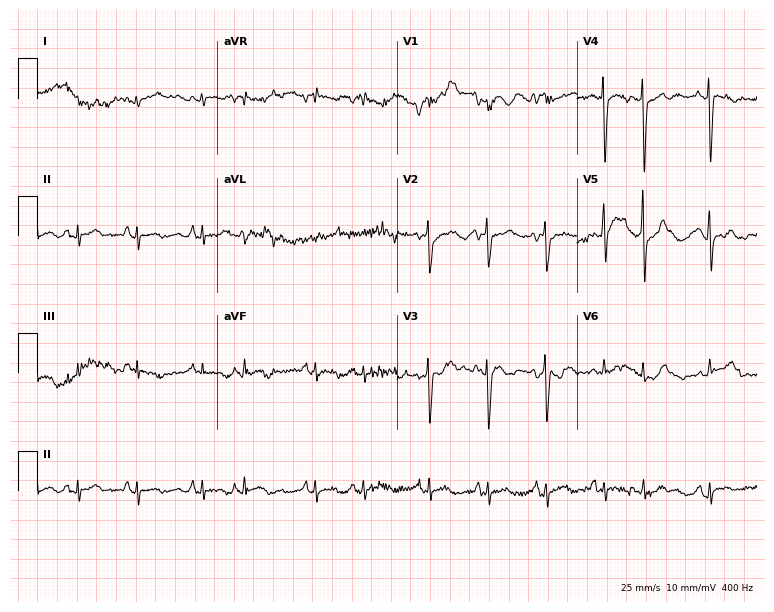
Resting 12-lead electrocardiogram. Patient: an 81-year-old woman. None of these six findings is recorded: first-degree AV block, right bundle branch block, left bundle branch block, sinus bradycardia, atrial fibrillation, sinus tachycardia. Other findings, if any, are not listed.